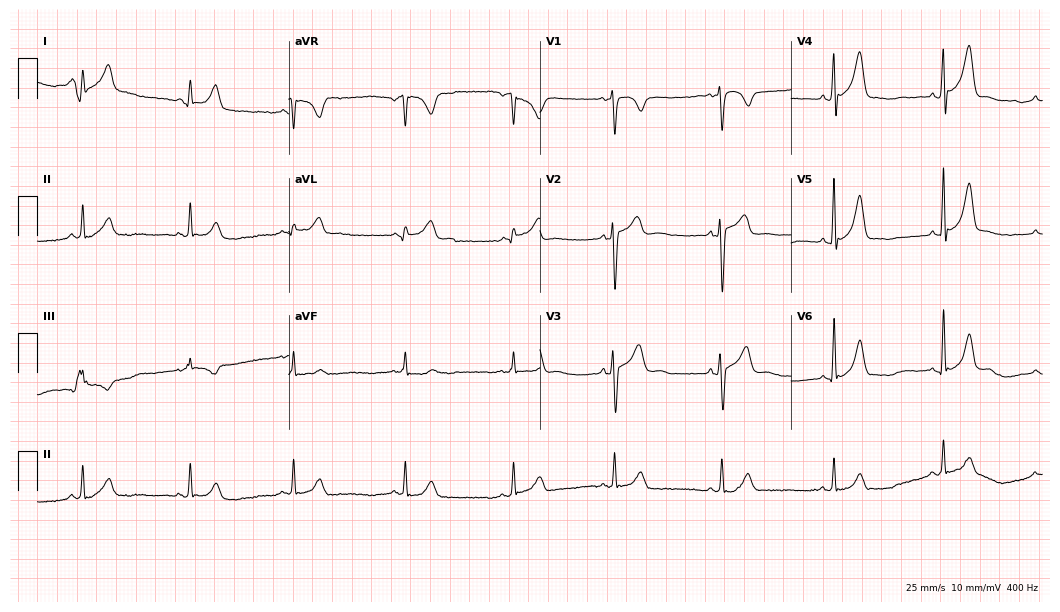
Resting 12-lead electrocardiogram. Patient: a male, 32 years old. Read as a normal ECG.